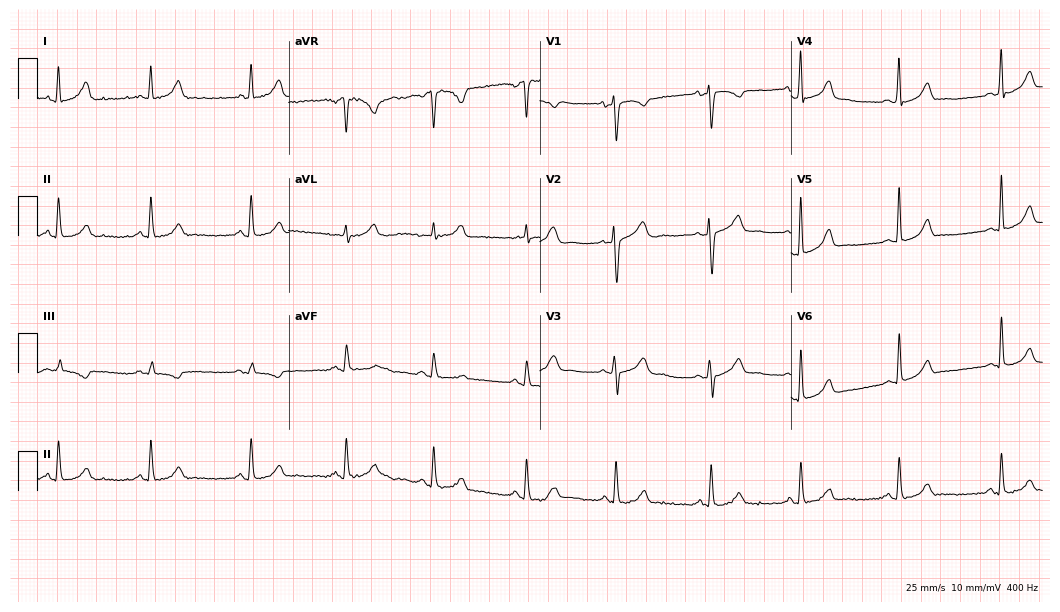
12-lead ECG from a female patient, 36 years old. No first-degree AV block, right bundle branch block (RBBB), left bundle branch block (LBBB), sinus bradycardia, atrial fibrillation (AF) or sinus tachycardia recorded for this tracing.